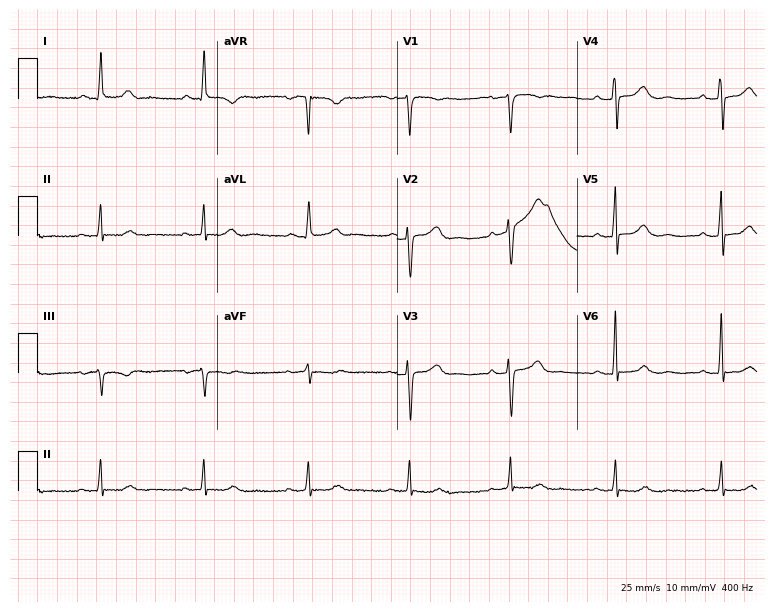
12-lead ECG (7.3-second recording at 400 Hz) from a female patient, 58 years old. Labelled as a normal ECG.